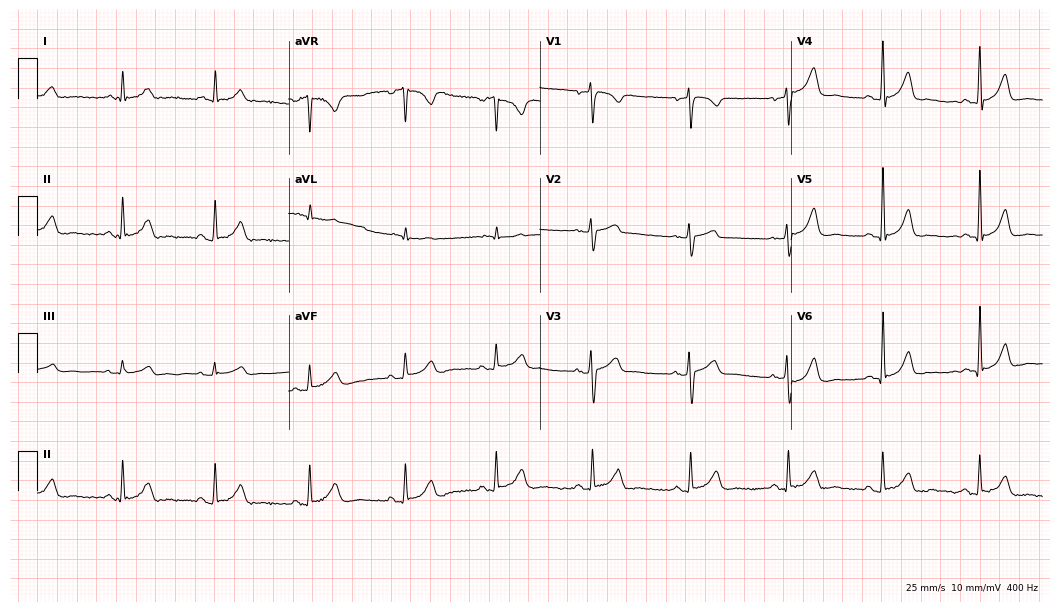
Resting 12-lead electrocardiogram. Patient: a female, 60 years old. None of these six findings is recorded: first-degree AV block, right bundle branch block, left bundle branch block, sinus bradycardia, atrial fibrillation, sinus tachycardia. Other findings, if any, are not listed.